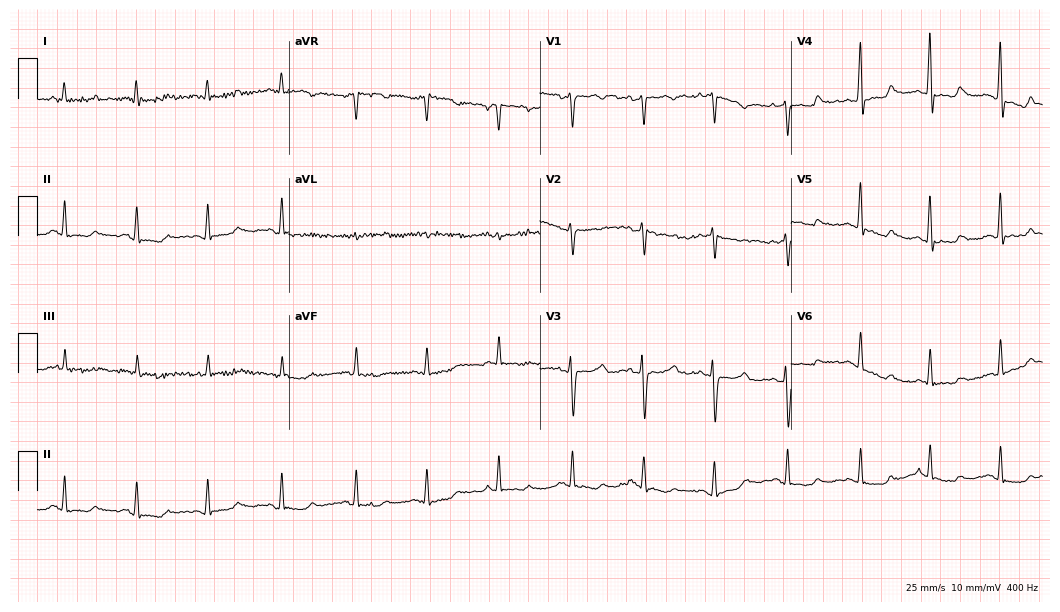
ECG — a woman, 38 years old. Labelled as a normal ECG.